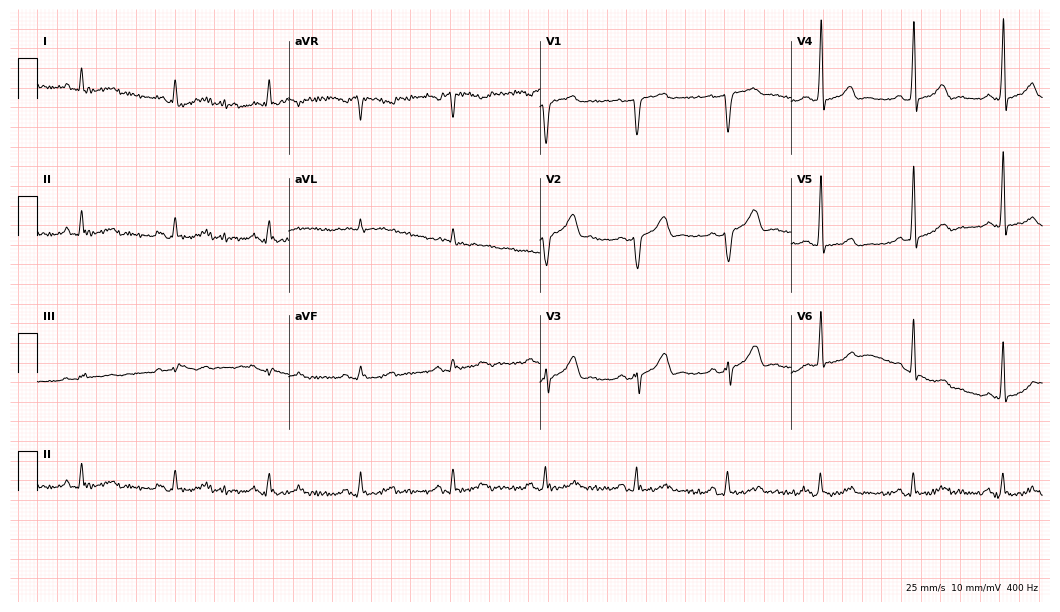
ECG — a female patient, 59 years old. Screened for six findings — first-degree AV block, right bundle branch block, left bundle branch block, sinus bradycardia, atrial fibrillation, sinus tachycardia — none is recorded. Only these six findings were labelled.